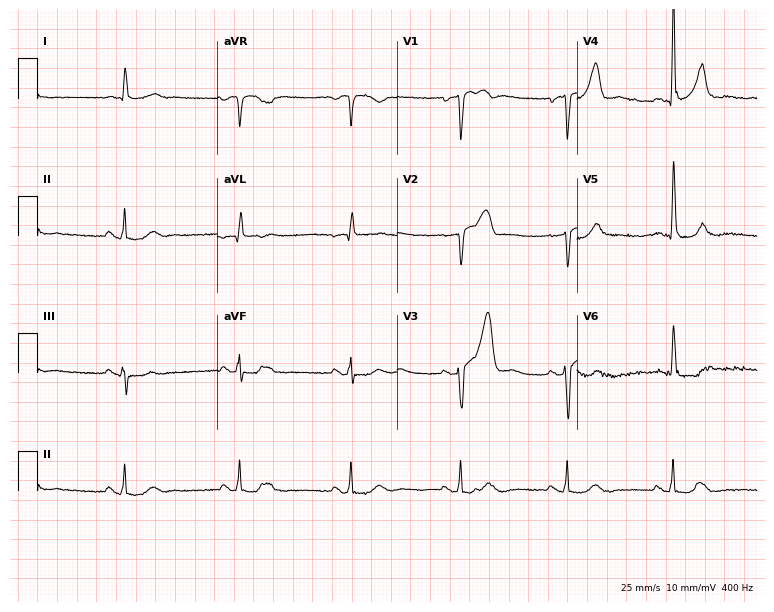
12-lead ECG (7.3-second recording at 400 Hz) from a man, 84 years old. Labelled as a normal ECG.